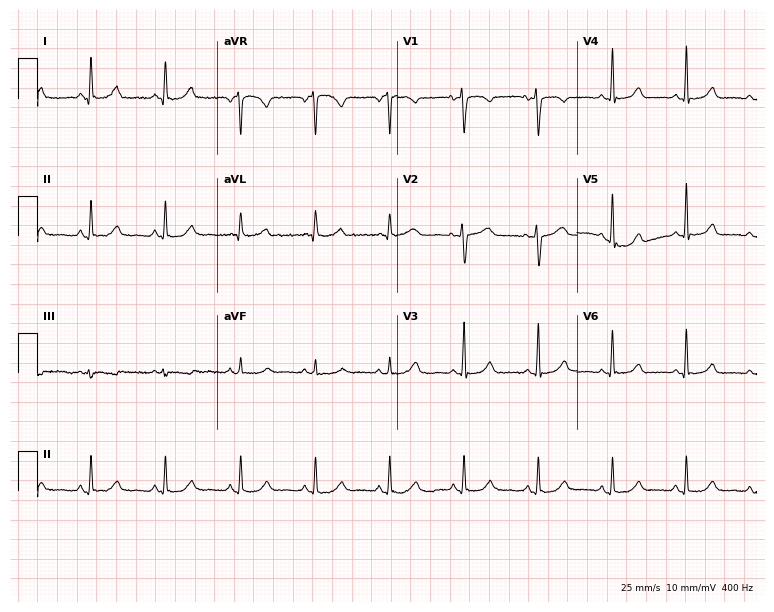
12-lead ECG from a female, 45 years old (7.3-second recording at 400 Hz). No first-degree AV block, right bundle branch block (RBBB), left bundle branch block (LBBB), sinus bradycardia, atrial fibrillation (AF) or sinus tachycardia recorded for this tracing.